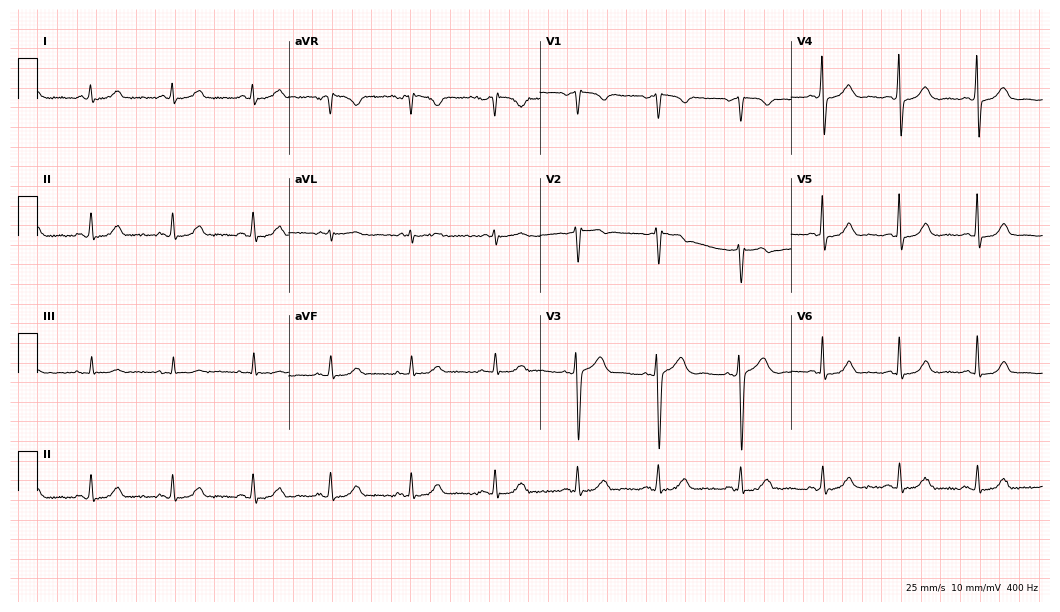
Resting 12-lead electrocardiogram. Patient: a 43-year-old female. Read as a normal ECG.